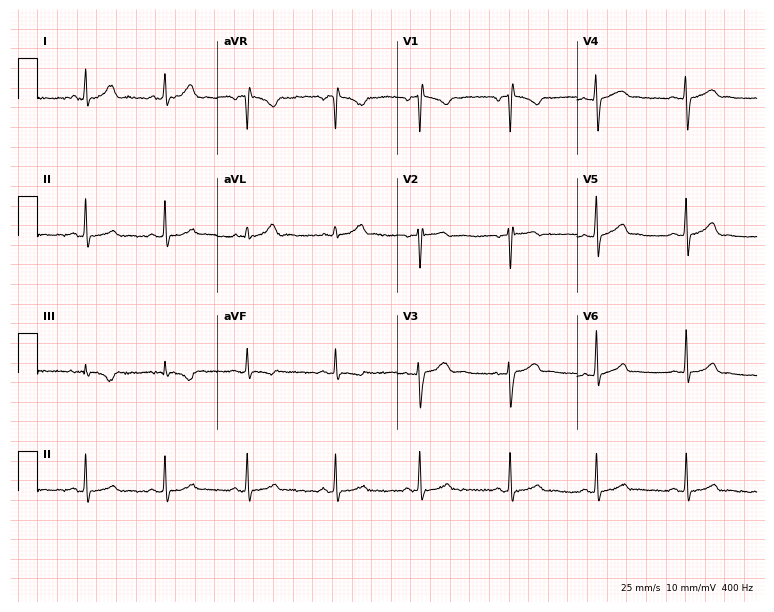
12-lead ECG from a 27-year-old female. Screened for six findings — first-degree AV block, right bundle branch block, left bundle branch block, sinus bradycardia, atrial fibrillation, sinus tachycardia — none is recorded. Other findings, if any, are not listed.